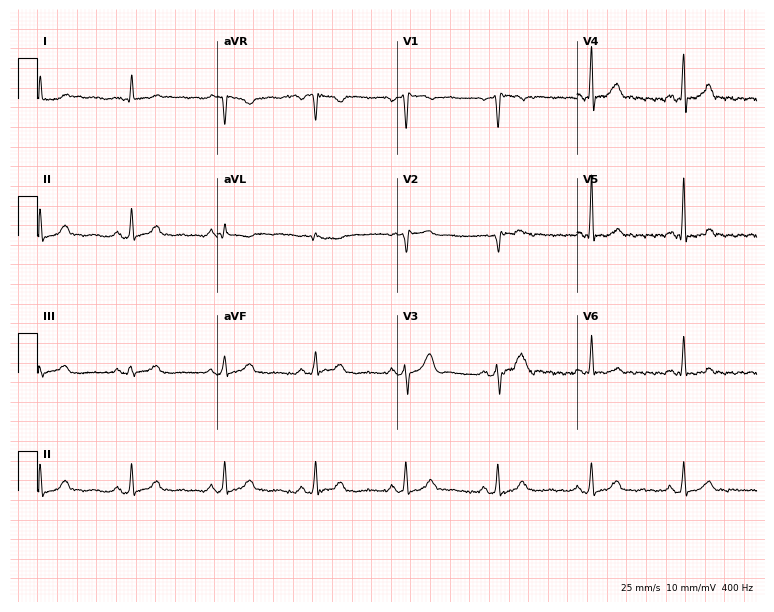
12-lead ECG from a male, 71 years old (7.3-second recording at 400 Hz). No first-degree AV block, right bundle branch block (RBBB), left bundle branch block (LBBB), sinus bradycardia, atrial fibrillation (AF) or sinus tachycardia recorded for this tracing.